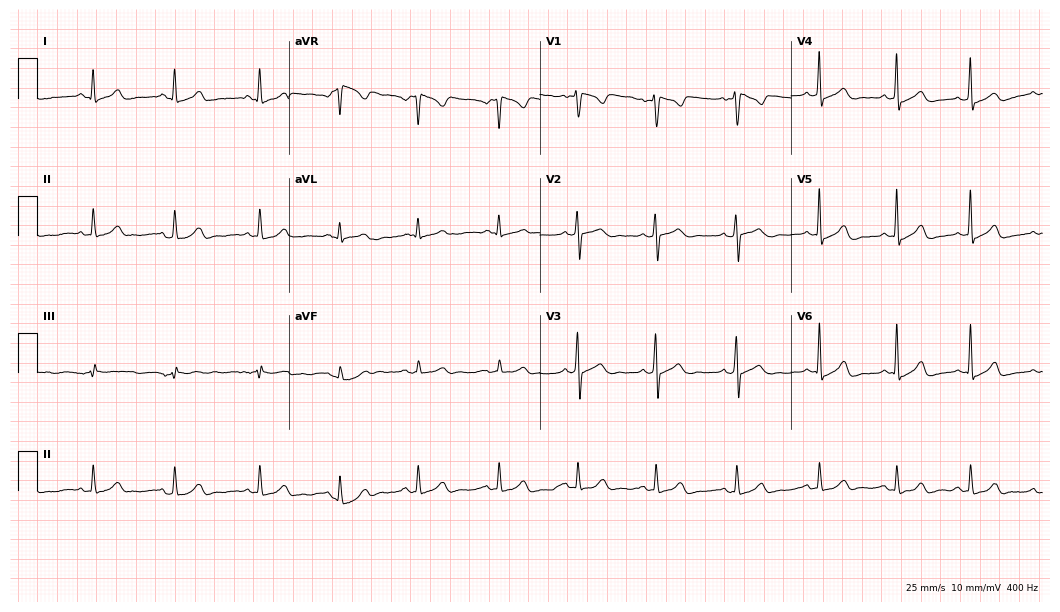
ECG (10.2-second recording at 400 Hz) — a 20-year-old female. Labelled as a normal ECG.